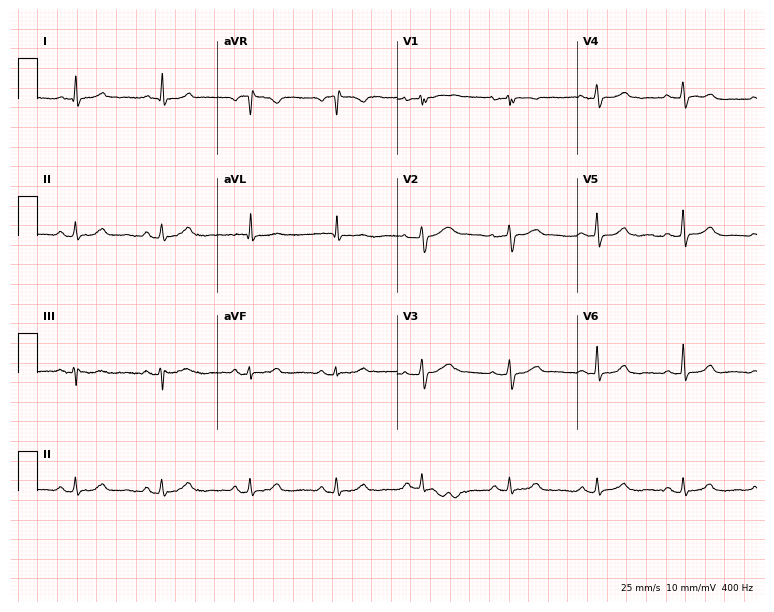
ECG (7.3-second recording at 400 Hz) — a 64-year-old female patient. Screened for six findings — first-degree AV block, right bundle branch block (RBBB), left bundle branch block (LBBB), sinus bradycardia, atrial fibrillation (AF), sinus tachycardia — none is recorded. Only these six findings were labelled.